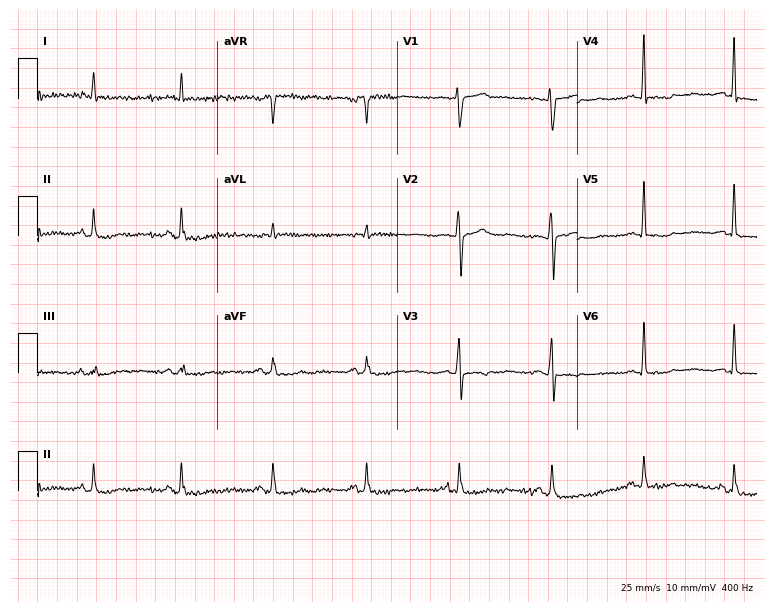
Electrocardiogram (7.3-second recording at 400 Hz), a 46-year-old male patient. Of the six screened findings (first-degree AV block, right bundle branch block (RBBB), left bundle branch block (LBBB), sinus bradycardia, atrial fibrillation (AF), sinus tachycardia), none is recorded.